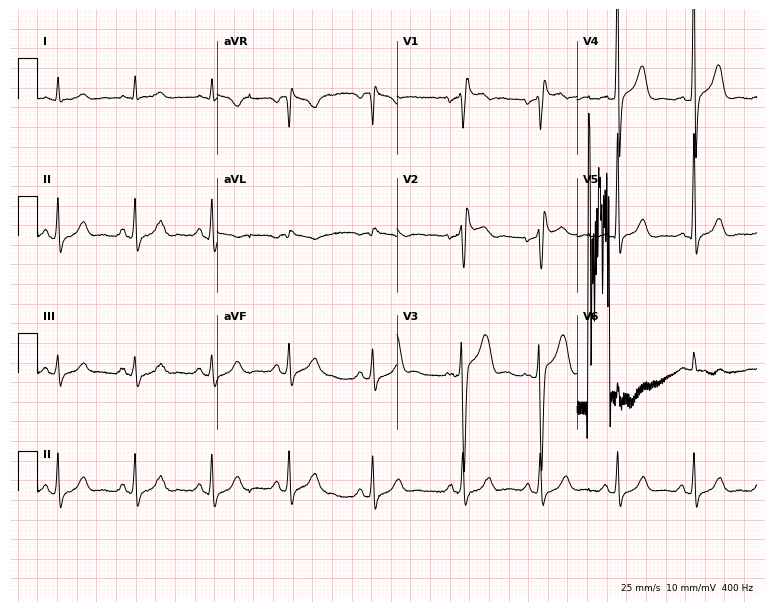
Standard 12-lead ECG recorded from a male, 65 years old (7.3-second recording at 400 Hz). None of these six findings is recorded: first-degree AV block, right bundle branch block, left bundle branch block, sinus bradycardia, atrial fibrillation, sinus tachycardia.